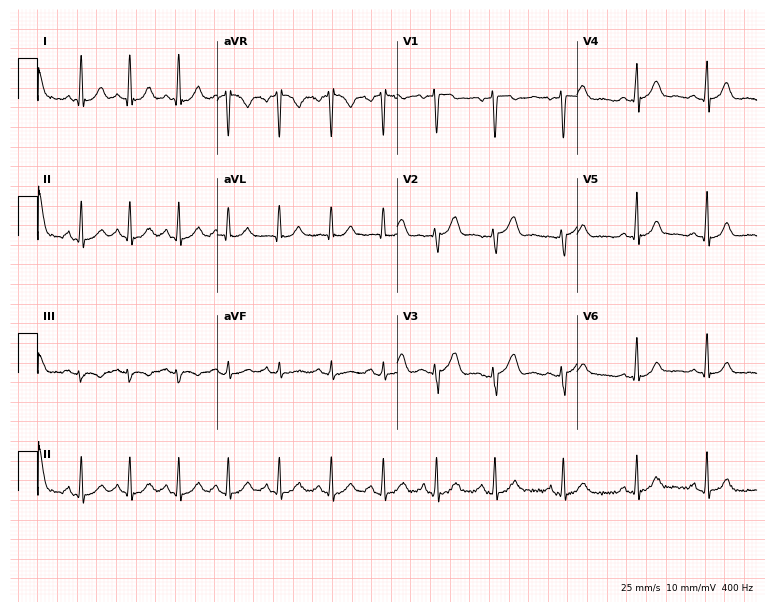
12-lead ECG (7.3-second recording at 400 Hz) from a woman, 58 years old. Screened for six findings — first-degree AV block, right bundle branch block (RBBB), left bundle branch block (LBBB), sinus bradycardia, atrial fibrillation (AF), sinus tachycardia — none is recorded. Other findings, if any, are not listed.